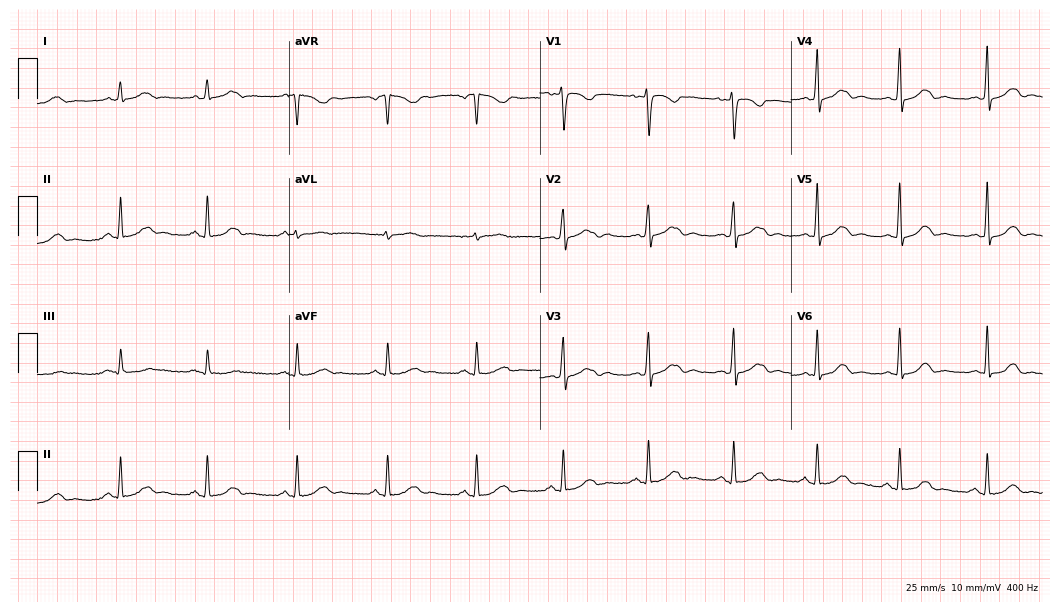
Electrocardiogram, a female patient, 37 years old. Of the six screened findings (first-degree AV block, right bundle branch block, left bundle branch block, sinus bradycardia, atrial fibrillation, sinus tachycardia), none is recorded.